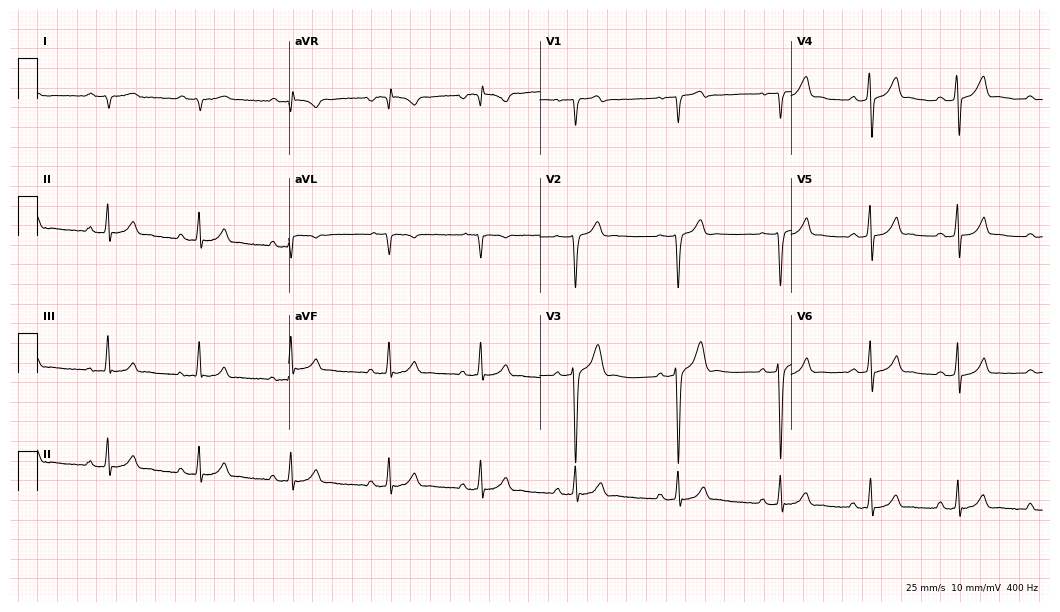
12-lead ECG from a male, 29 years old. No first-degree AV block, right bundle branch block (RBBB), left bundle branch block (LBBB), sinus bradycardia, atrial fibrillation (AF) or sinus tachycardia recorded for this tracing.